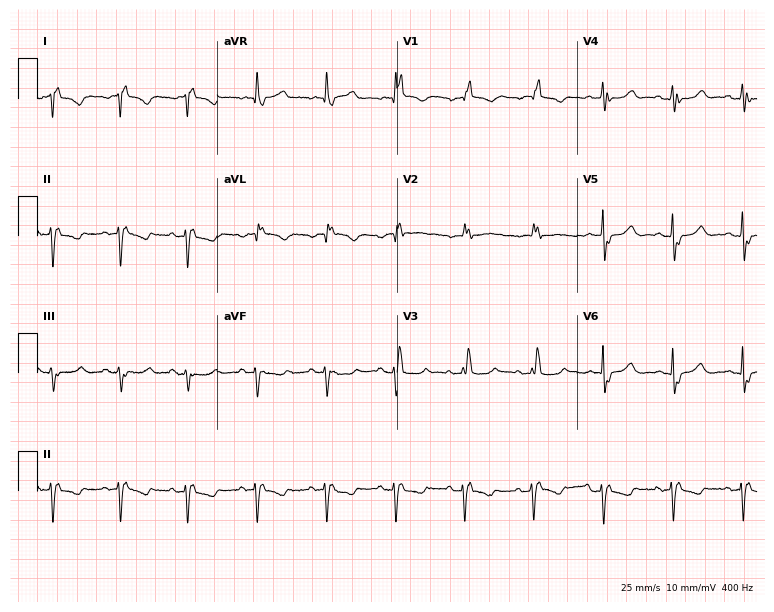
ECG (7.3-second recording at 400 Hz) — a 79-year-old woman. Screened for six findings — first-degree AV block, right bundle branch block (RBBB), left bundle branch block (LBBB), sinus bradycardia, atrial fibrillation (AF), sinus tachycardia — none is recorded. Other findings, if any, are not listed.